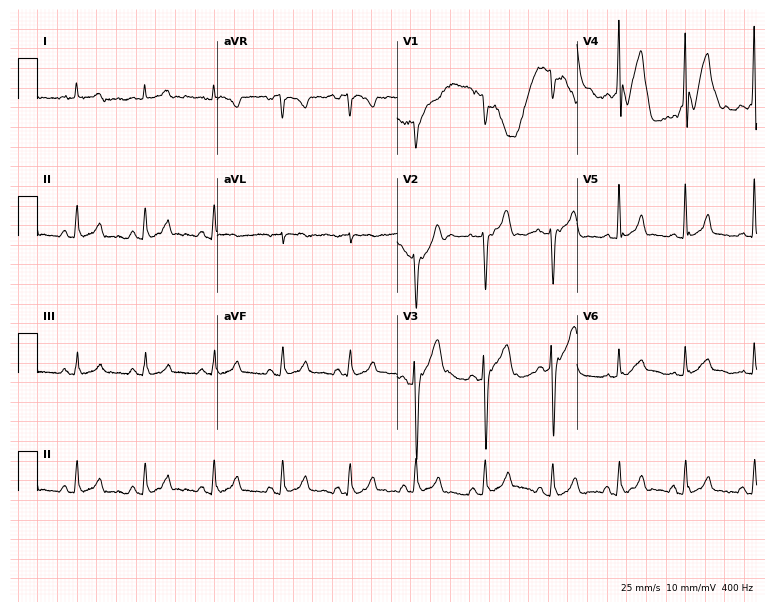
Electrocardiogram, a 37-year-old male patient. Overall reading on record: normal ECG.